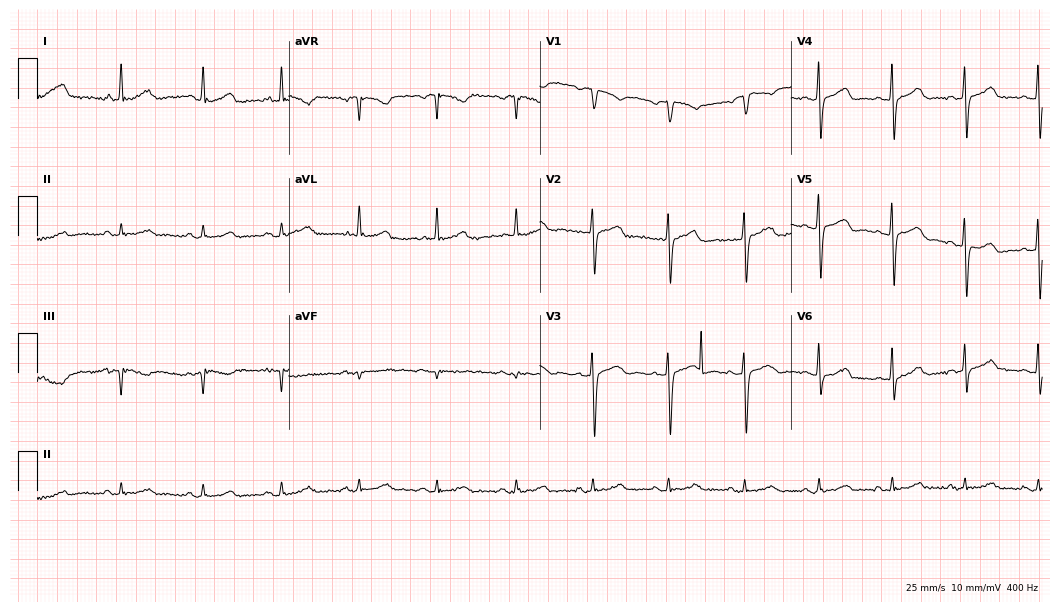
Standard 12-lead ECG recorded from a woman, 65 years old (10.2-second recording at 400 Hz). None of these six findings is recorded: first-degree AV block, right bundle branch block (RBBB), left bundle branch block (LBBB), sinus bradycardia, atrial fibrillation (AF), sinus tachycardia.